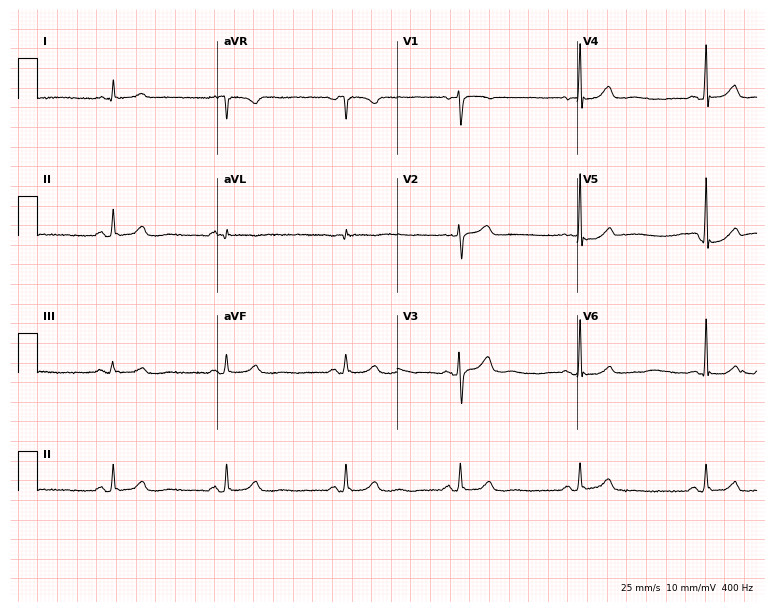
12-lead ECG from a 53-year-old female patient (7.3-second recording at 400 Hz). Shows sinus bradycardia (a sinus rate of 50 beats per minute or less).